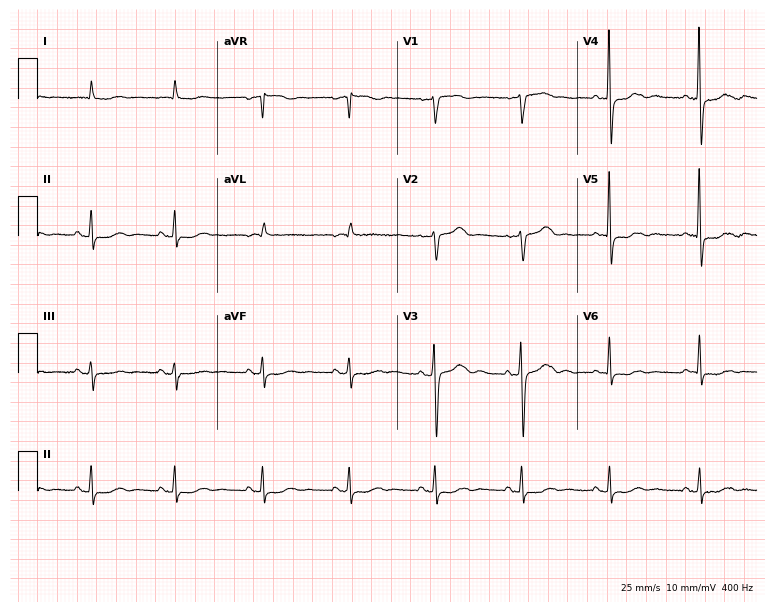
12-lead ECG from a female patient, 76 years old (7.3-second recording at 400 Hz). No first-degree AV block, right bundle branch block, left bundle branch block, sinus bradycardia, atrial fibrillation or sinus tachycardia recorded for this tracing.